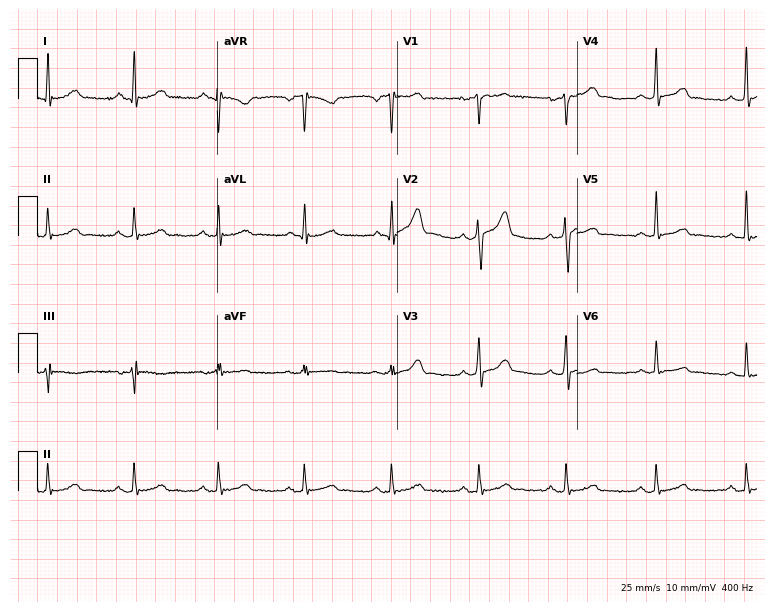
12-lead ECG from a male, 42 years old (7.3-second recording at 400 Hz). Recorded interpretation: within normal limits.